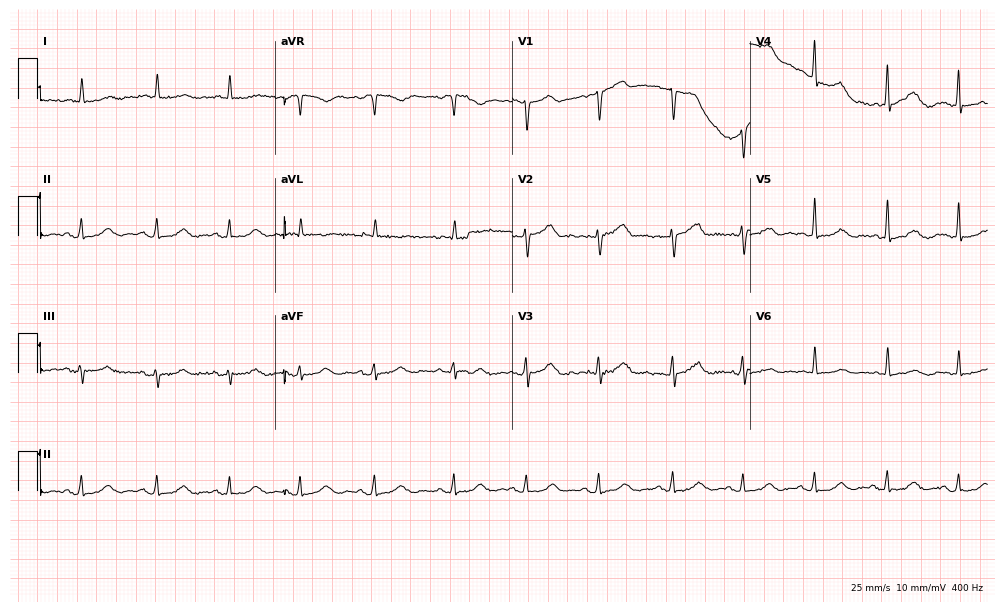
ECG — a 69-year-old female patient. Labelled as a normal ECG.